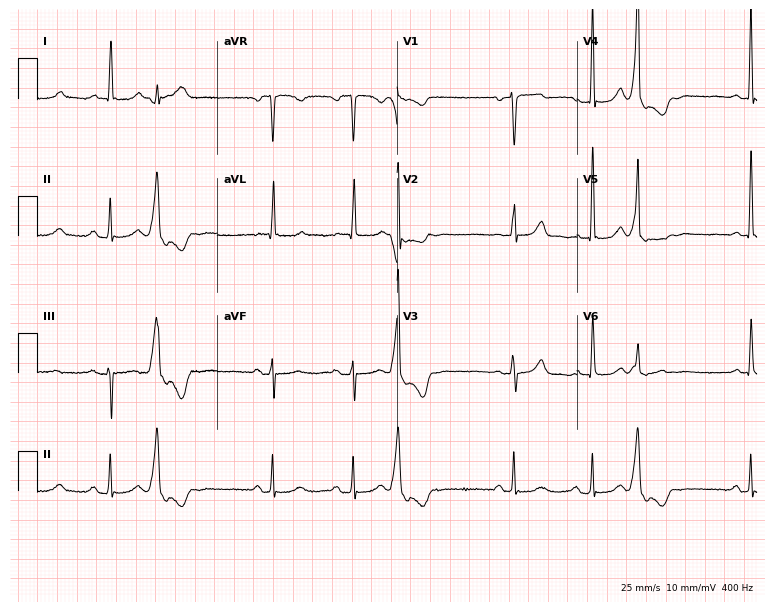
Electrocardiogram (7.3-second recording at 400 Hz), a woman, 80 years old. Of the six screened findings (first-degree AV block, right bundle branch block (RBBB), left bundle branch block (LBBB), sinus bradycardia, atrial fibrillation (AF), sinus tachycardia), none is recorded. Findings outside these six are not listed.